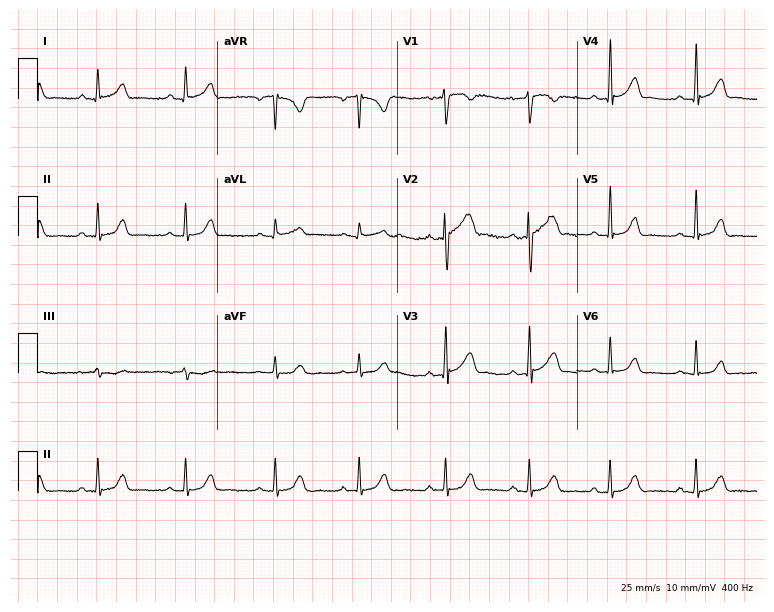
Standard 12-lead ECG recorded from a female, 37 years old. Read as a normal ECG.